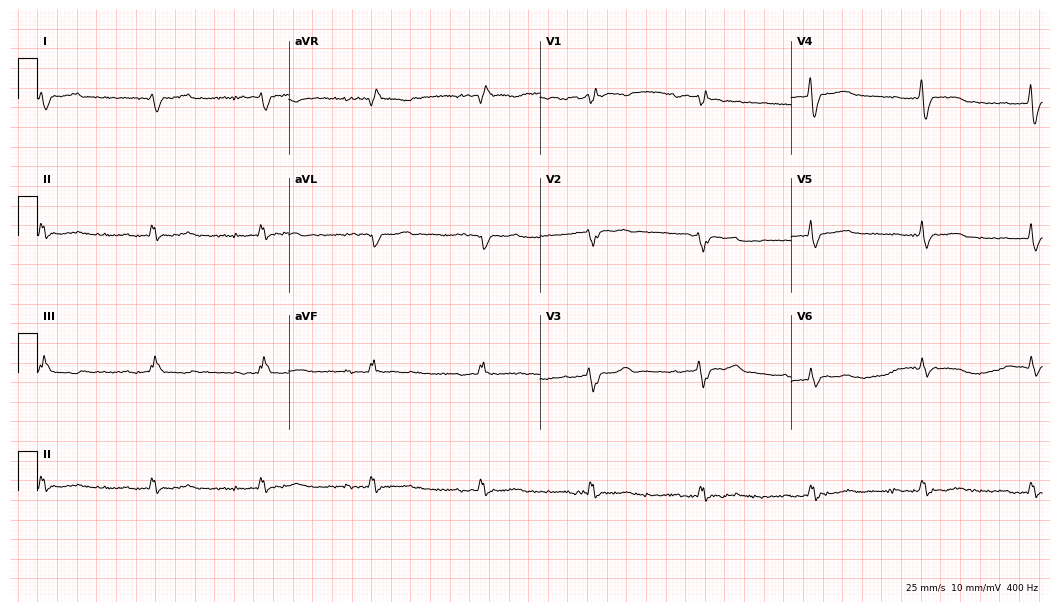
Standard 12-lead ECG recorded from a 66-year-old female patient (10.2-second recording at 400 Hz). The tracing shows right bundle branch block (RBBB).